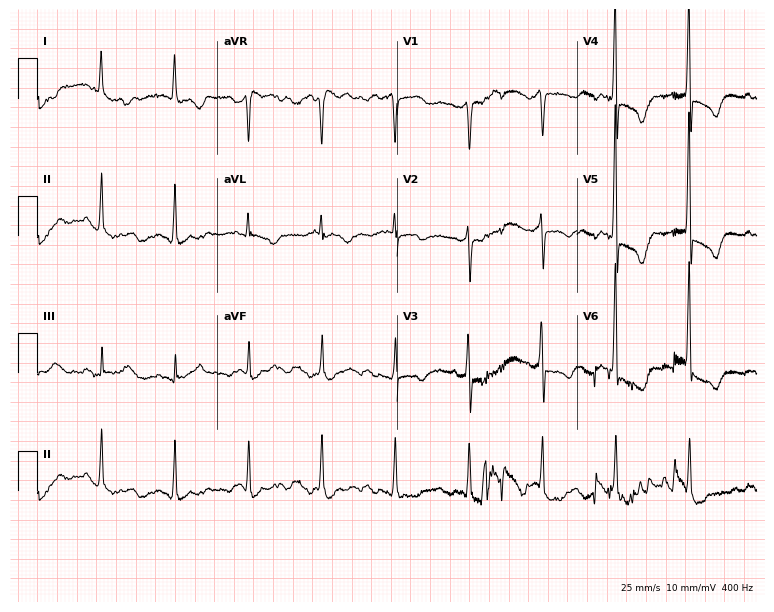
Standard 12-lead ECG recorded from an 84-year-old female (7.3-second recording at 400 Hz). None of these six findings is recorded: first-degree AV block, right bundle branch block (RBBB), left bundle branch block (LBBB), sinus bradycardia, atrial fibrillation (AF), sinus tachycardia. Only these six findings were labelled.